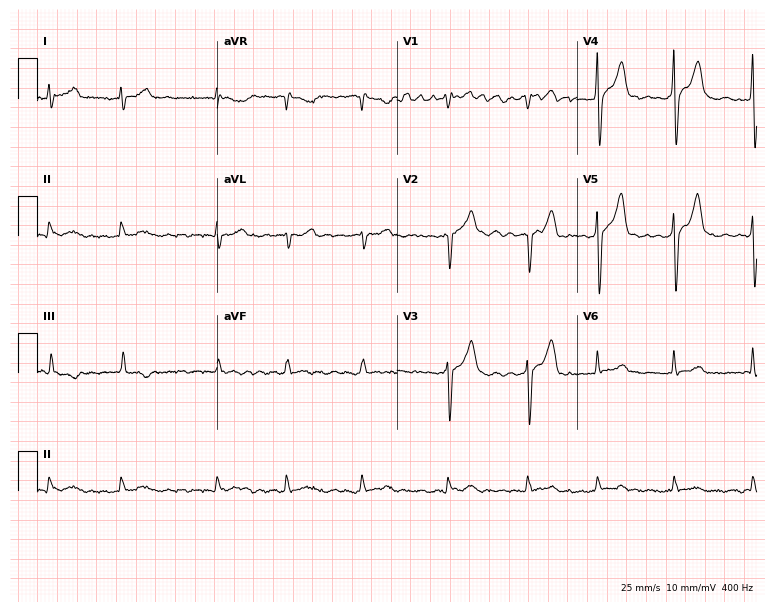
Resting 12-lead electrocardiogram. Patient: a male, 59 years old. The tracing shows atrial fibrillation (AF).